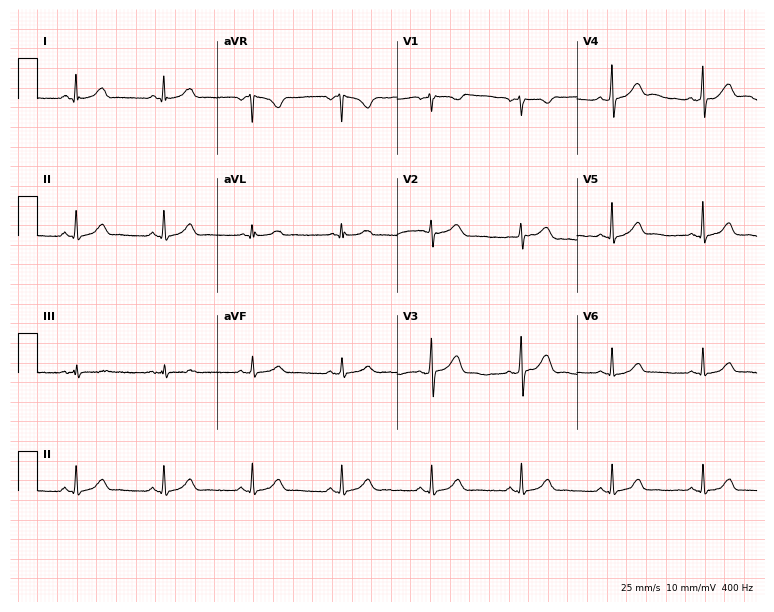
12-lead ECG (7.3-second recording at 400 Hz) from a female patient, 67 years old. Labelled as a normal ECG.